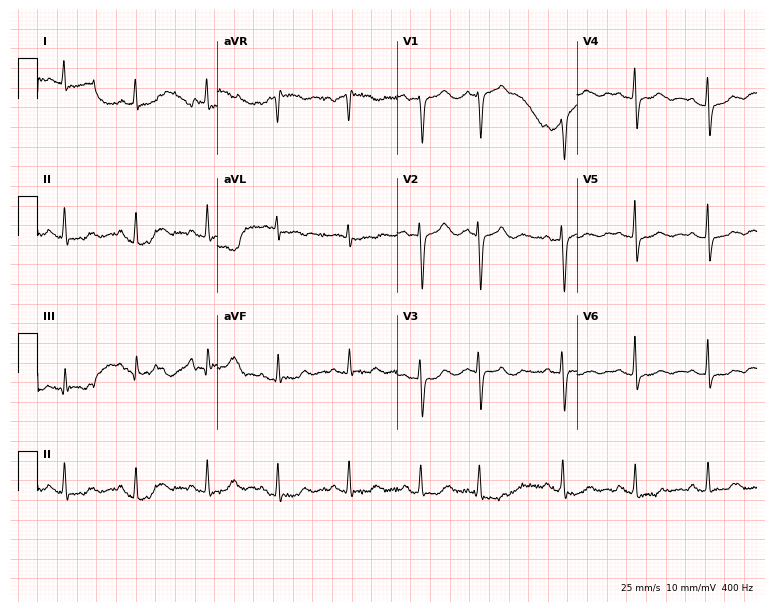
12-lead ECG from a female, 70 years old (7.3-second recording at 400 Hz). No first-degree AV block, right bundle branch block, left bundle branch block, sinus bradycardia, atrial fibrillation or sinus tachycardia recorded for this tracing. Findings outside these six are not listed.